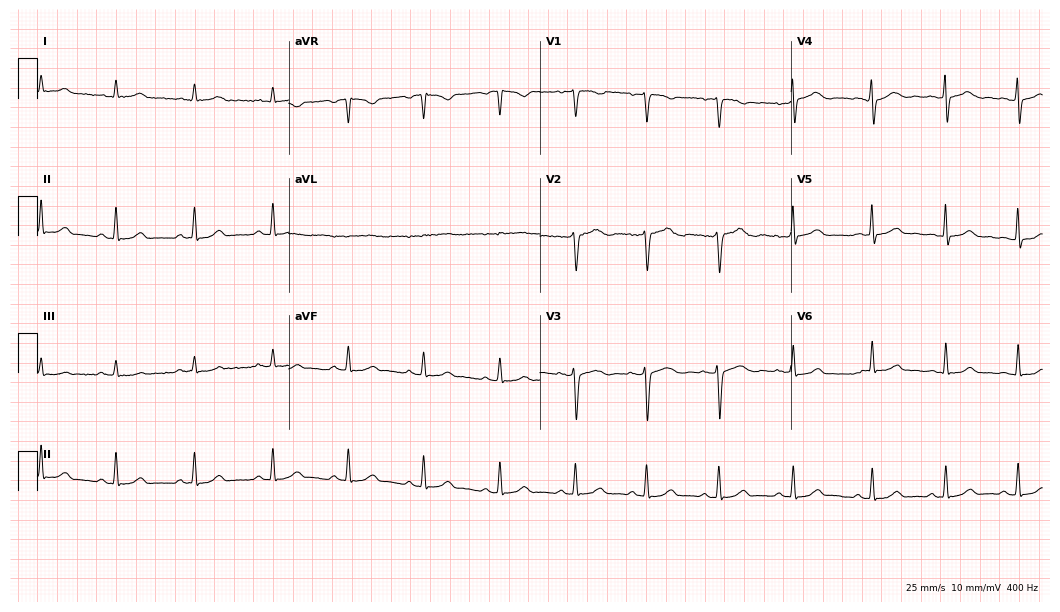
12-lead ECG from a 33-year-old female patient. No first-degree AV block, right bundle branch block (RBBB), left bundle branch block (LBBB), sinus bradycardia, atrial fibrillation (AF) or sinus tachycardia recorded for this tracing.